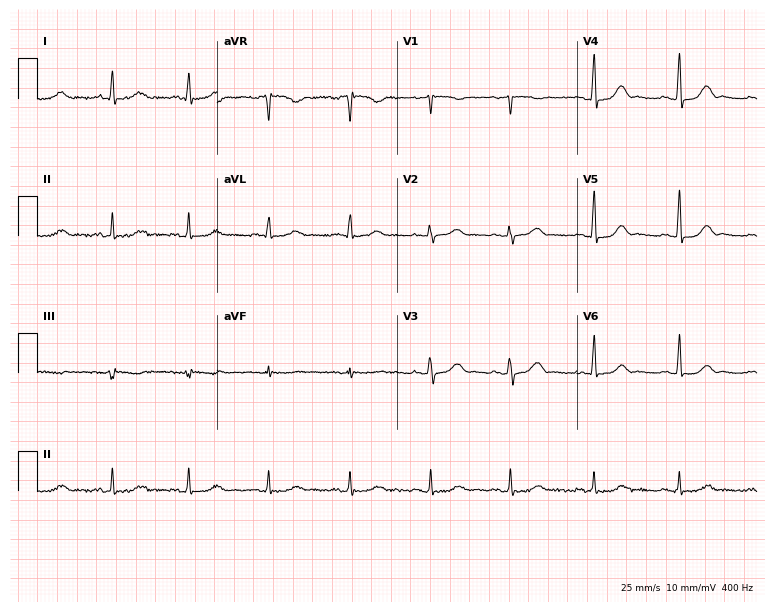
Resting 12-lead electrocardiogram (7.3-second recording at 400 Hz). Patient: a female, 69 years old. Read as a normal ECG.